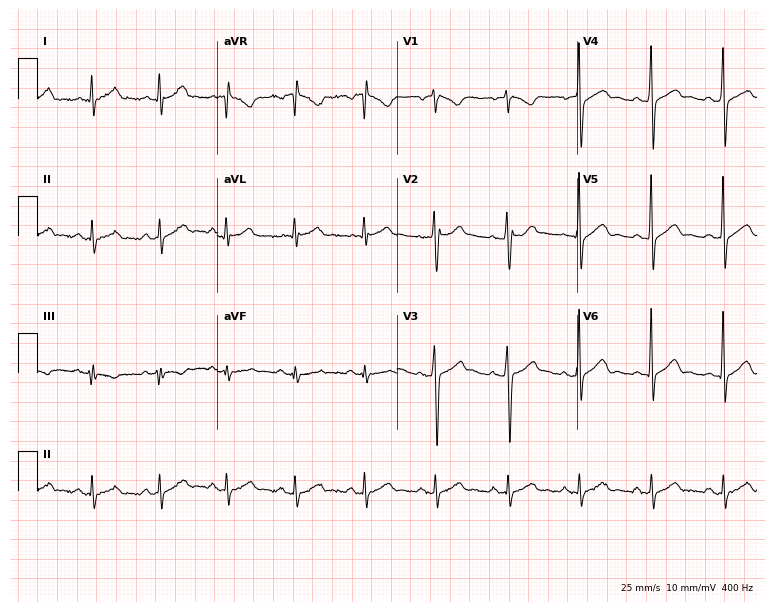
12-lead ECG from a 37-year-old man (7.3-second recording at 400 Hz). Recorded interpretation: within normal limits.